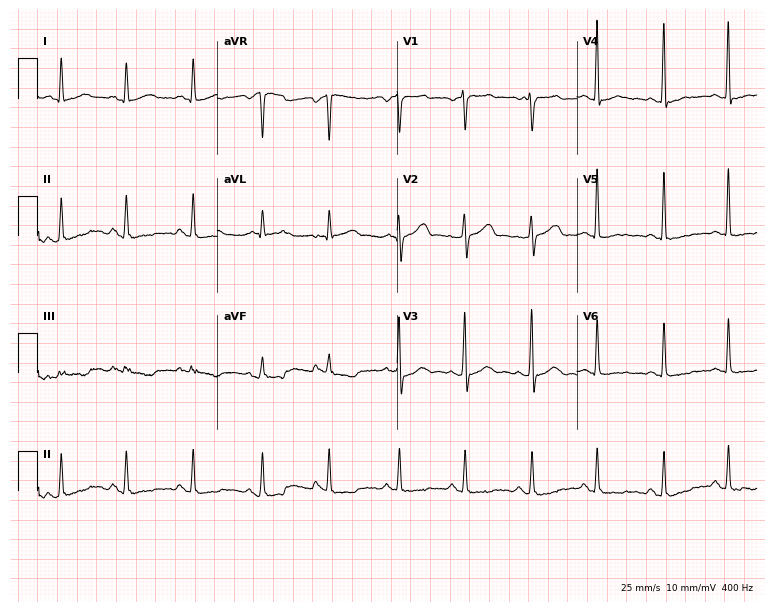
Resting 12-lead electrocardiogram. Patient: a 57-year-old male. Read as a normal ECG.